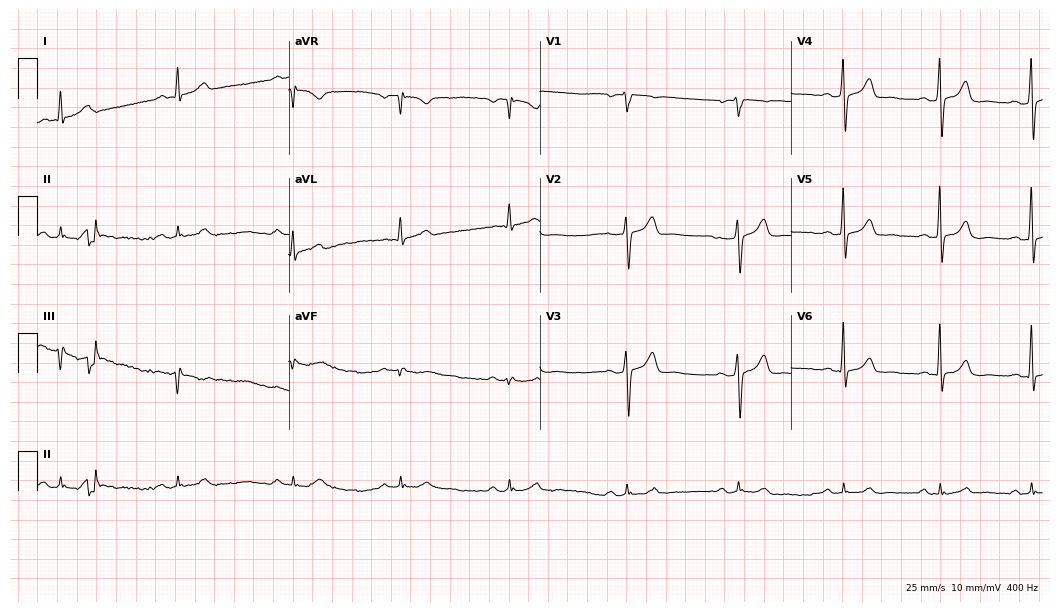
12-lead ECG from a 45-year-old male patient (10.2-second recording at 400 Hz). Recorded interpretation: within normal limits.